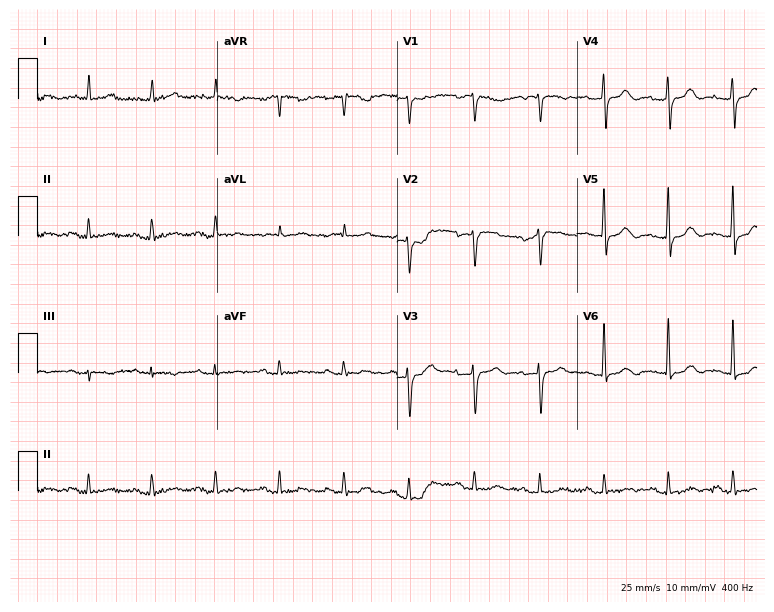
ECG (7.3-second recording at 400 Hz) — a woman, 86 years old. Labelled as a normal ECG.